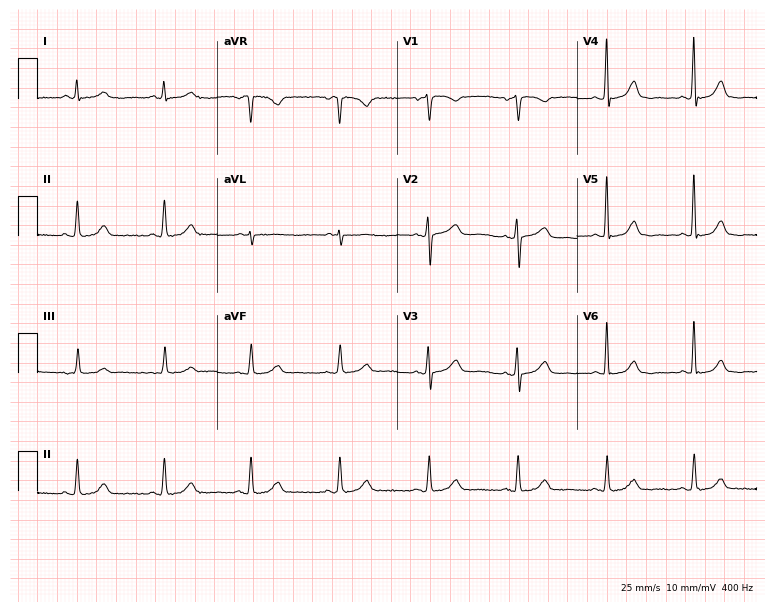
12-lead ECG from a 55-year-old woman (7.3-second recording at 400 Hz). No first-degree AV block, right bundle branch block, left bundle branch block, sinus bradycardia, atrial fibrillation or sinus tachycardia recorded for this tracing.